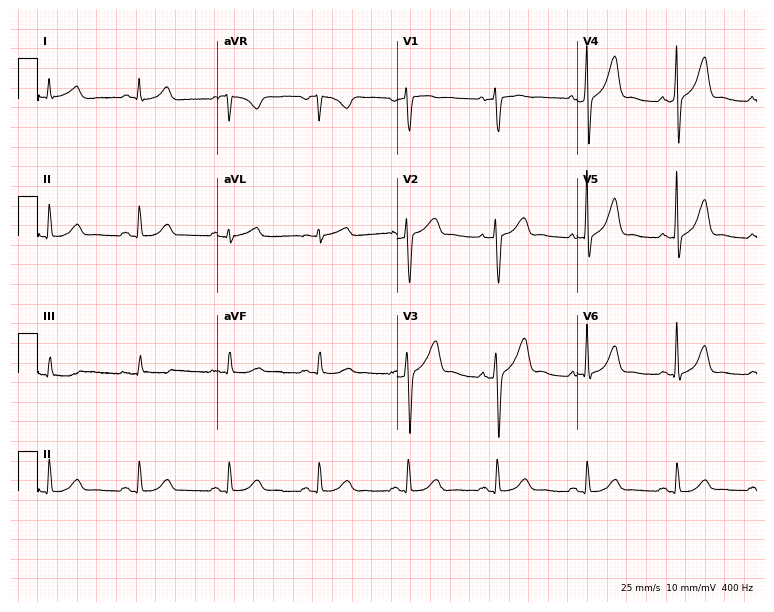
Standard 12-lead ECG recorded from a man, 59 years old (7.3-second recording at 400 Hz). Read as a normal ECG.